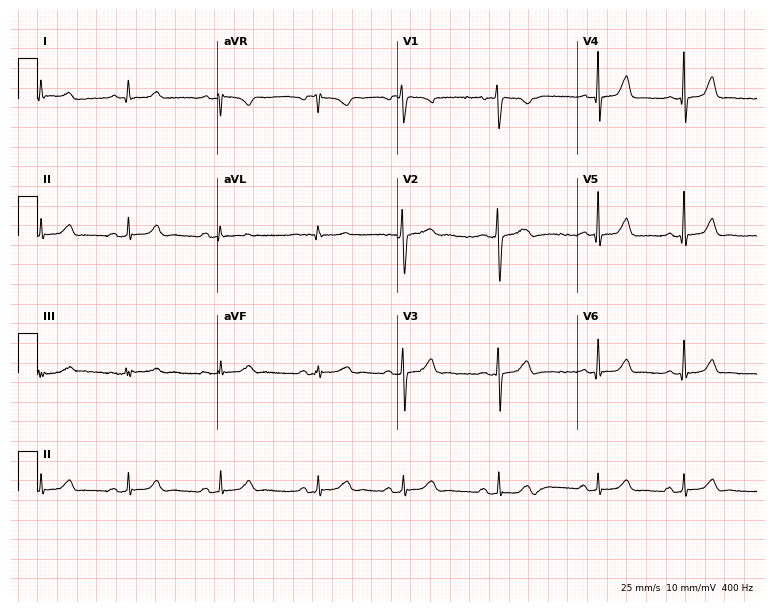
12-lead ECG from a 32-year-old woman. Labelled as a normal ECG.